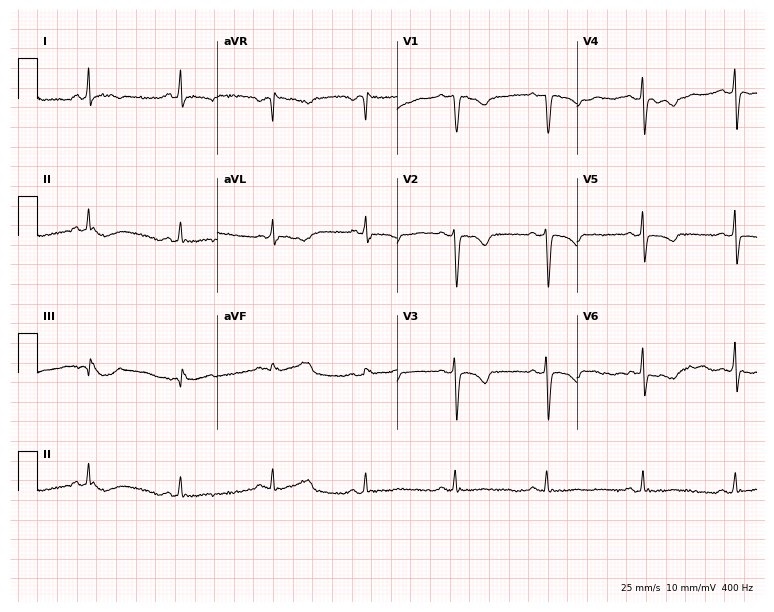
Electrocardiogram, a 33-year-old female patient. Of the six screened findings (first-degree AV block, right bundle branch block (RBBB), left bundle branch block (LBBB), sinus bradycardia, atrial fibrillation (AF), sinus tachycardia), none is recorded. Findings outside these six are not listed.